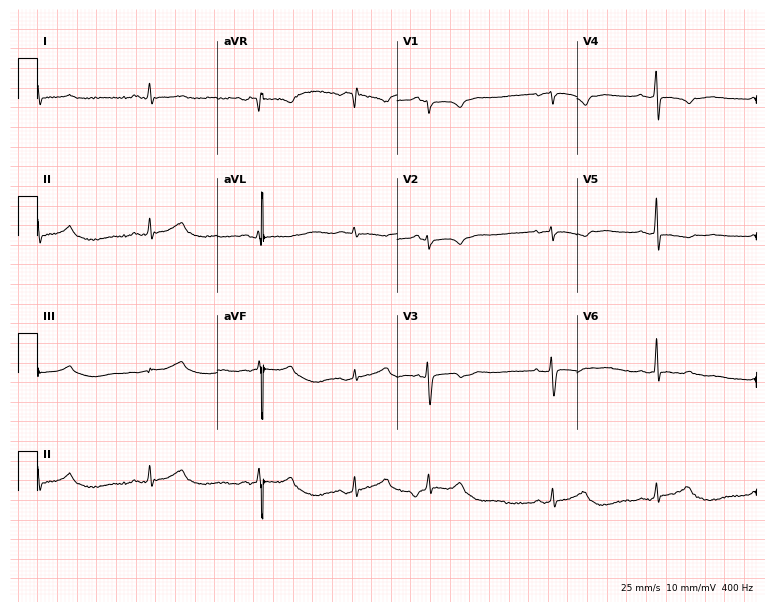
12-lead ECG from a woman, 26 years old. No first-degree AV block, right bundle branch block, left bundle branch block, sinus bradycardia, atrial fibrillation or sinus tachycardia recorded for this tracing.